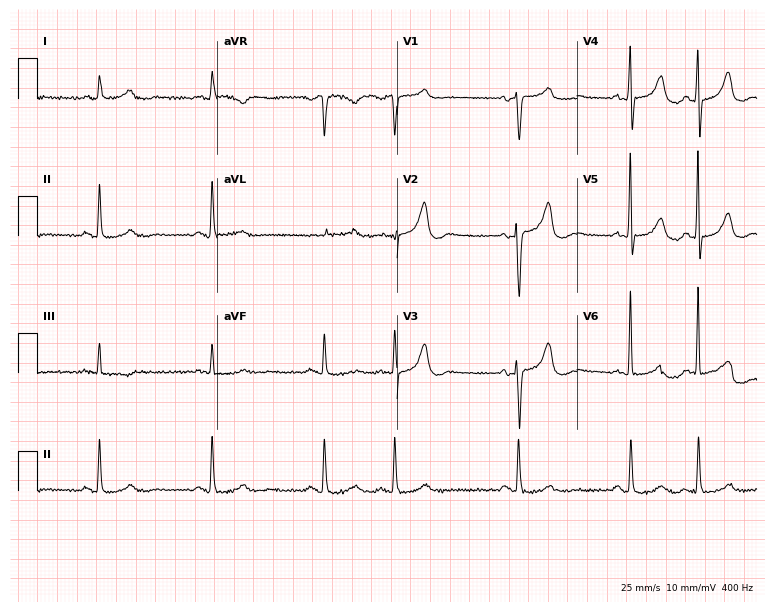
Resting 12-lead electrocardiogram. Patient: a female, 79 years old. None of these six findings is recorded: first-degree AV block, right bundle branch block (RBBB), left bundle branch block (LBBB), sinus bradycardia, atrial fibrillation (AF), sinus tachycardia. Findings outside these six are not listed.